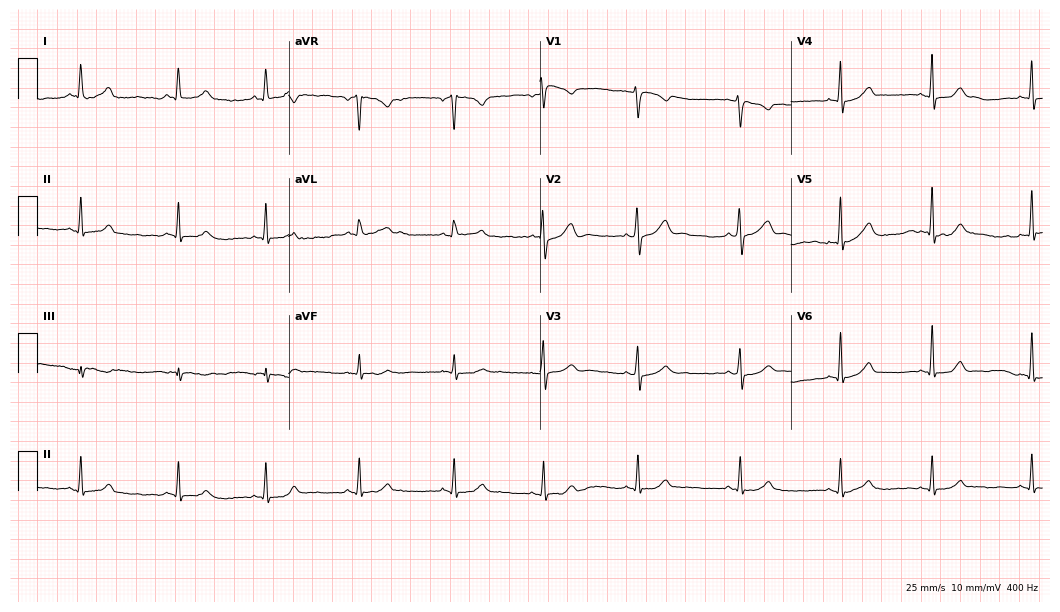
Resting 12-lead electrocardiogram (10.2-second recording at 400 Hz). Patient: a woman, 28 years old. Read as a normal ECG.